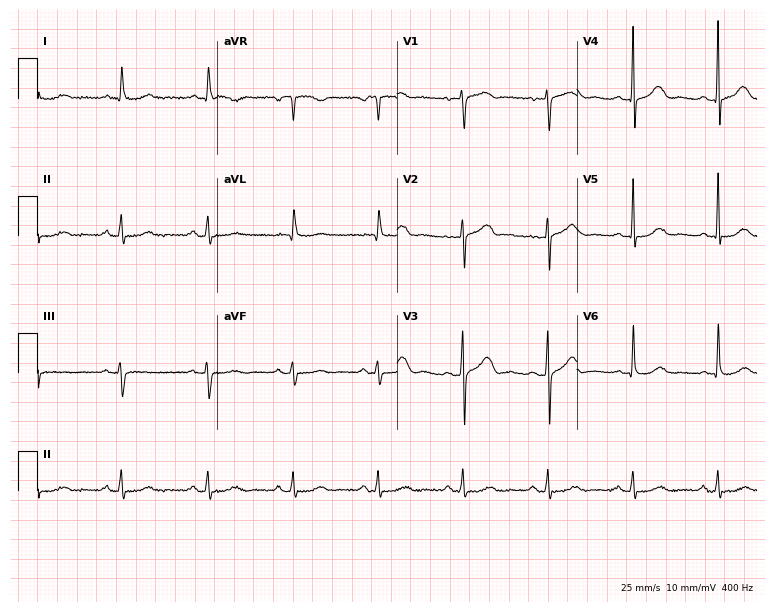
12-lead ECG from a 73-year-old male. Recorded interpretation: within normal limits.